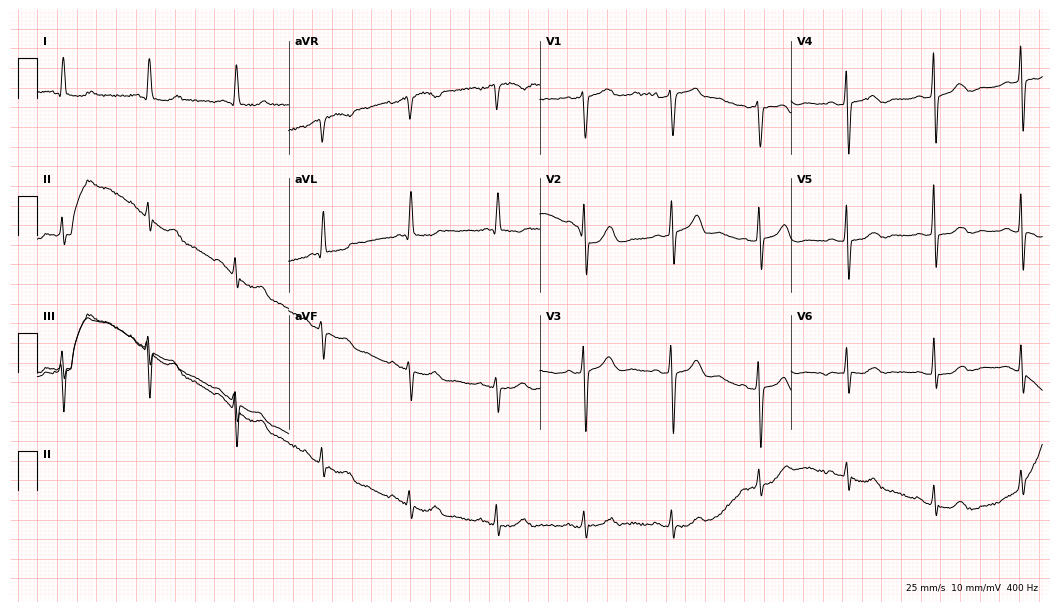
Standard 12-lead ECG recorded from a female, 85 years old. Read as a normal ECG.